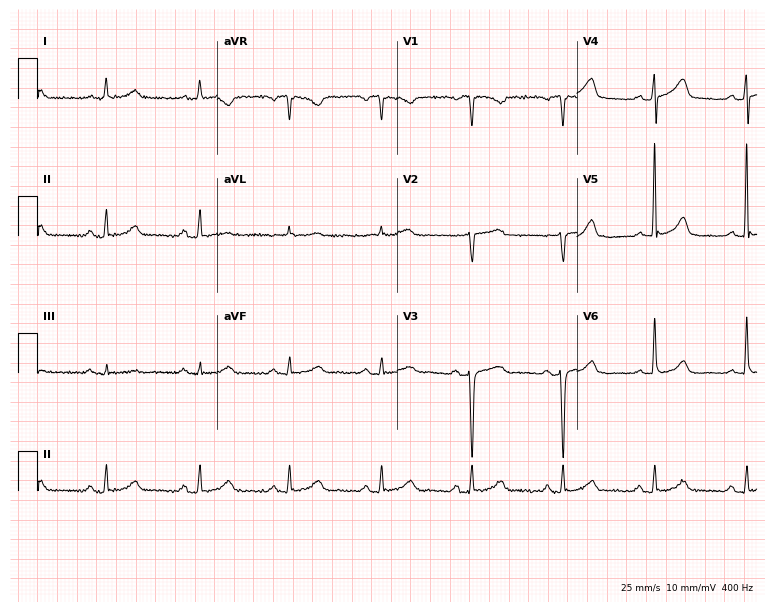
12-lead ECG (7.3-second recording at 400 Hz) from a female, 78 years old. Screened for six findings — first-degree AV block, right bundle branch block, left bundle branch block, sinus bradycardia, atrial fibrillation, sinus tachycardia — none is recorded. Other findings, if any, are not listed.